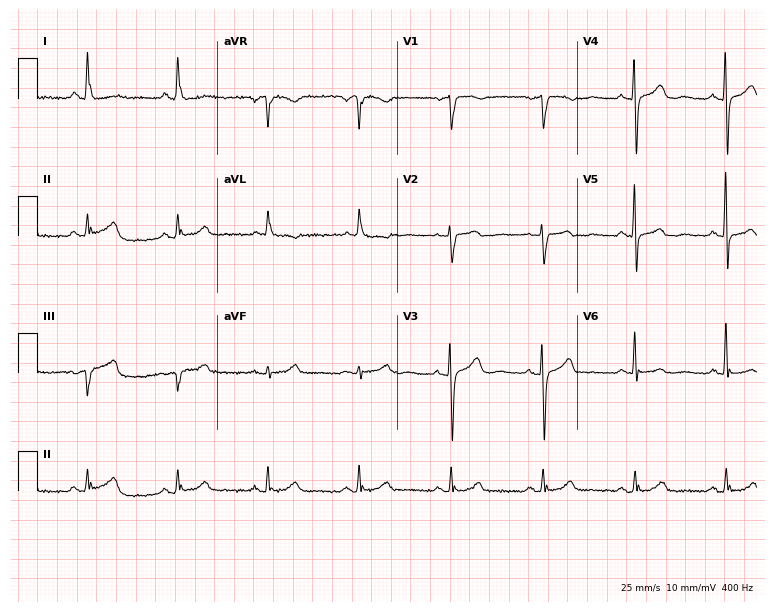
Electrocardiogram (7.3-second recording at 400 Hz), a 67-year-old female. Of the six screened findings (first-degree AV block, right bundle branch block, left bundle branch block, sinus bradycardia, atrial fibrillation, sinus tachycardia), none is recorded.